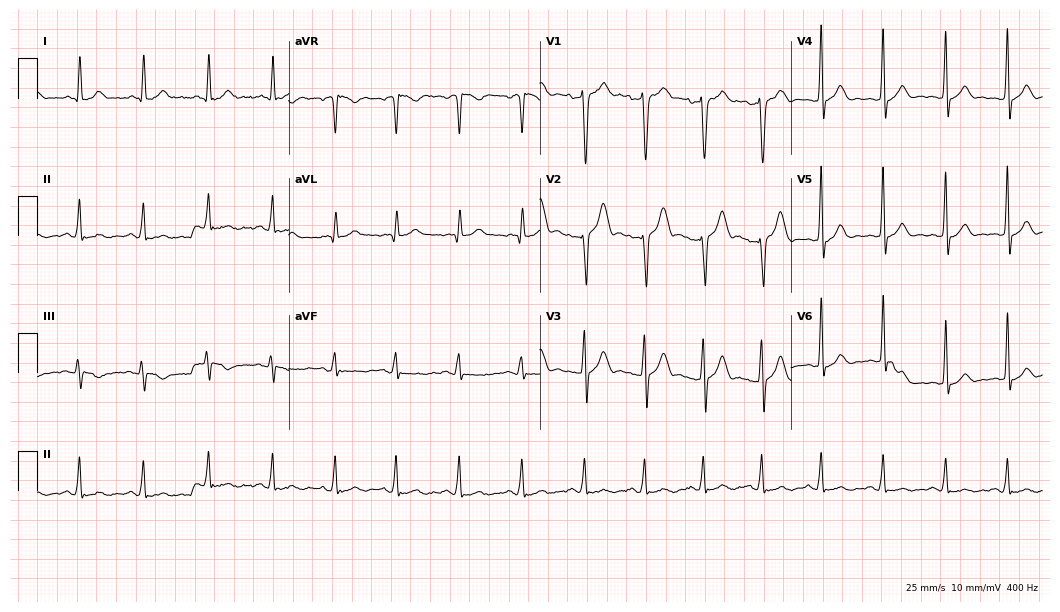
Electrocardiogram (10.2-second recording at 400 Hz), a 39-year-old male patient. Of the six screened findings (first-degree AV block, right bundle branch block, left bundle branch block, sinus bradycardia, atrial fibrillation, sinus tachycardia), none is recorded. Findings outside these six are not listed.